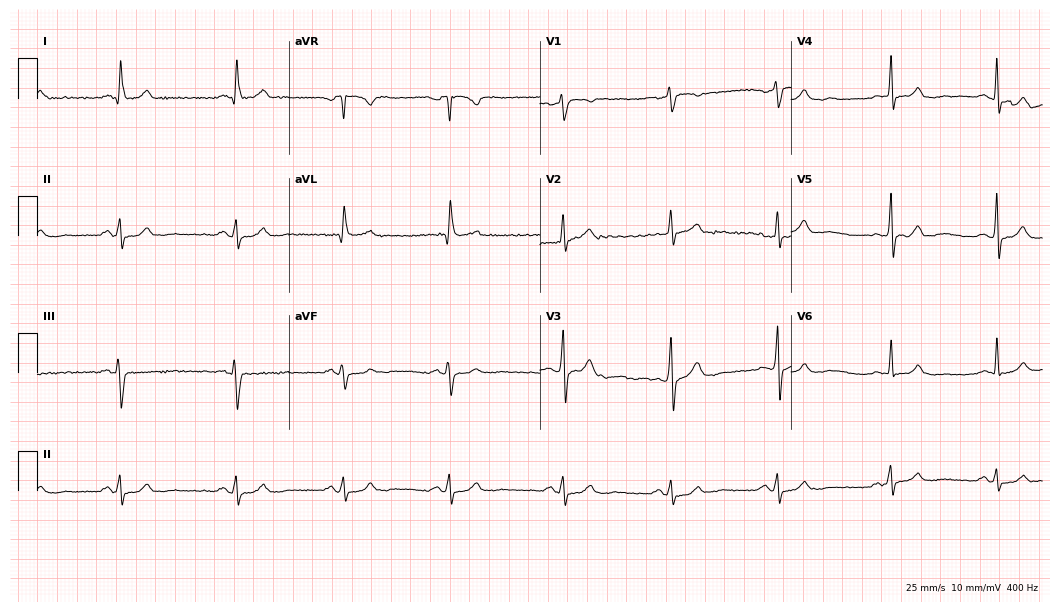
Electrocardiogram (10.2-second recording at 400 Hz), a 51-year-old male. Of the six screened findings (first-degree AV block, right bundle branch block, left bundle branch block, sinus bradycardia, atrial fibrillation, sinus tachycardia), none is recorded. Only these six findings were labelled.